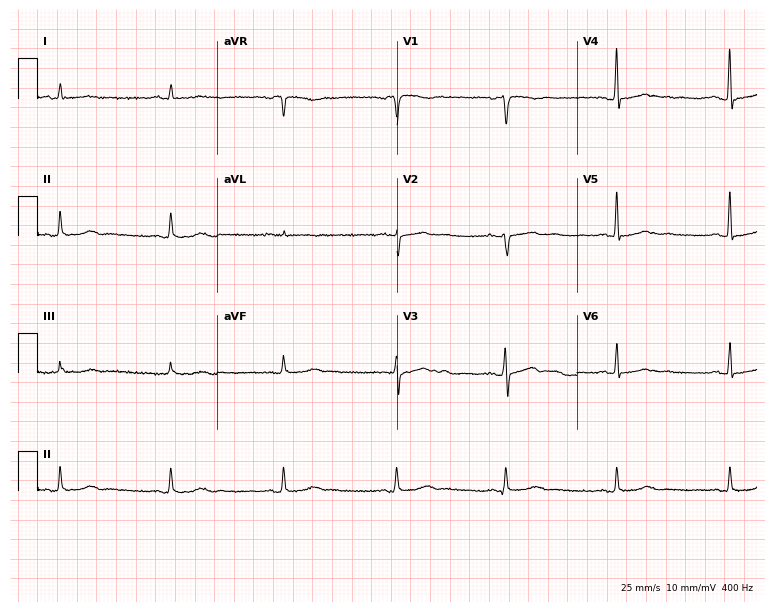
Resting 12-lead electrocardiogram (7.3-second recording at 400 Hz). Patient: a female, 58 years old. None of these six findings is recorded: first-degree AV block, right bundle branch block, left bundle branch block, sinus bradycardia, atrial fibrillation, sinus tachycardia.